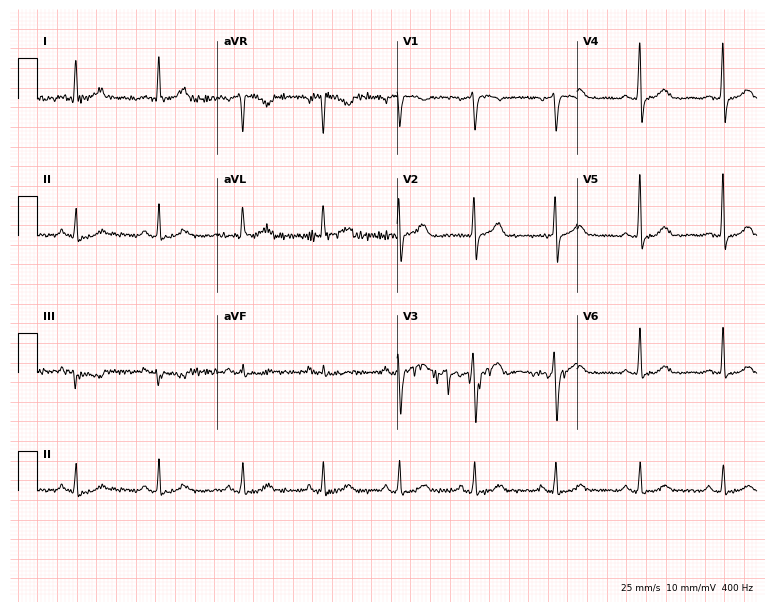
Standard 12-lead ECG recorded from a female patient, 59 years old (7.3-second recording at 400 Hz). Read as a normal ECG.